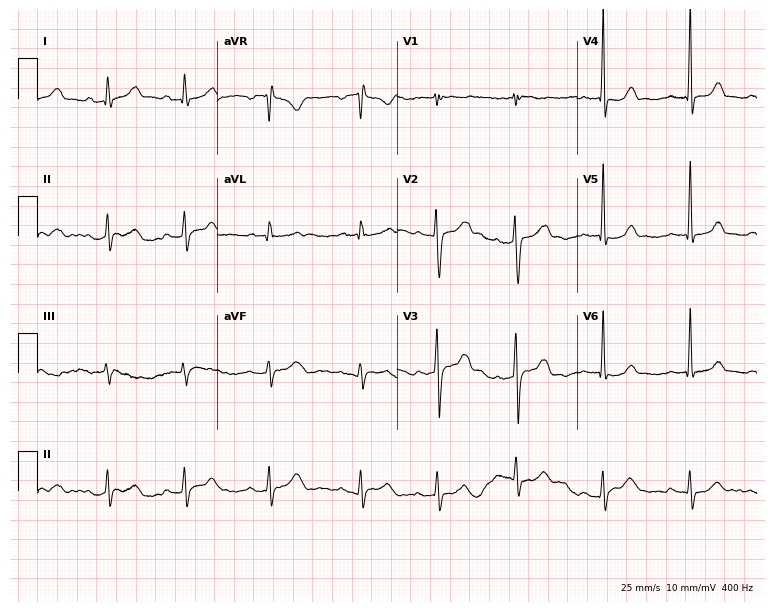
12-lead ECG from a 17-year-old male (7.3-second recording at 400 Hz). Recorded interpretation: within normal limits.